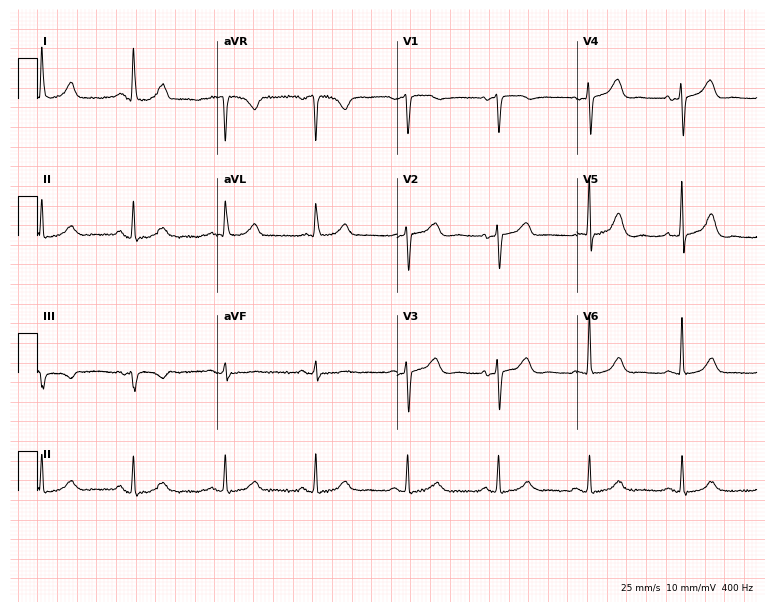
12-lead ECG from a man, 71 years old (7.3-second recording at 400 Hz). Recorded interpretation: within normal limits.